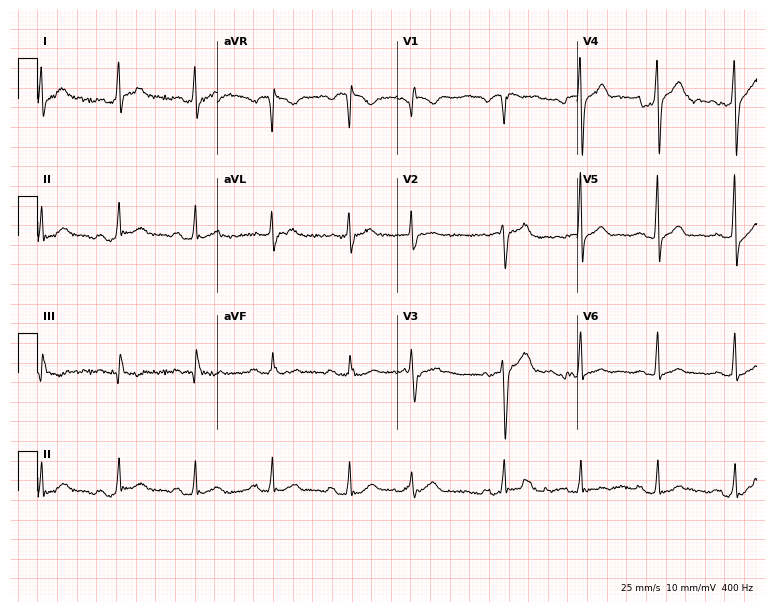
Standard 12-lead ECG recorded from a 55-year-old male. Read as a normal ECG.